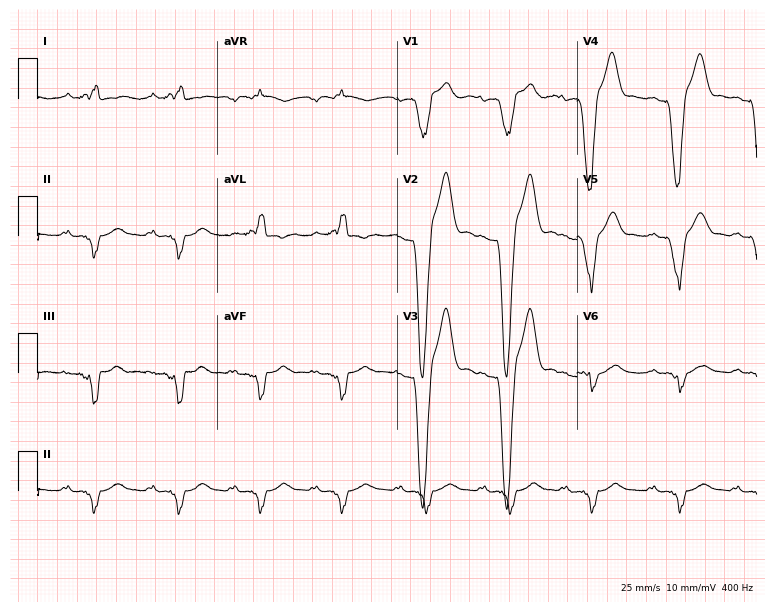
12-lead ECG from an 86-year-old male patient. Screened for six findings — first-degree AV block, right bundle branch block, left bundle branch block, sinus bradycardia, atrial fibrillation, sinus tachycardia — none is recorded.